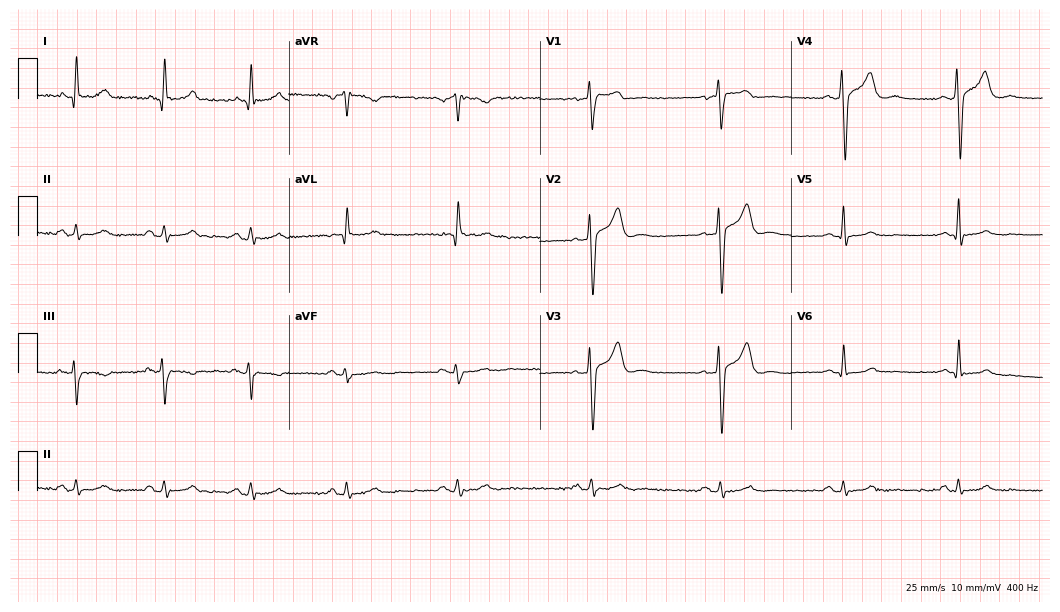
Standard 12-lead ECG recorded from a male, 44 years old. Read as a normal ECG.